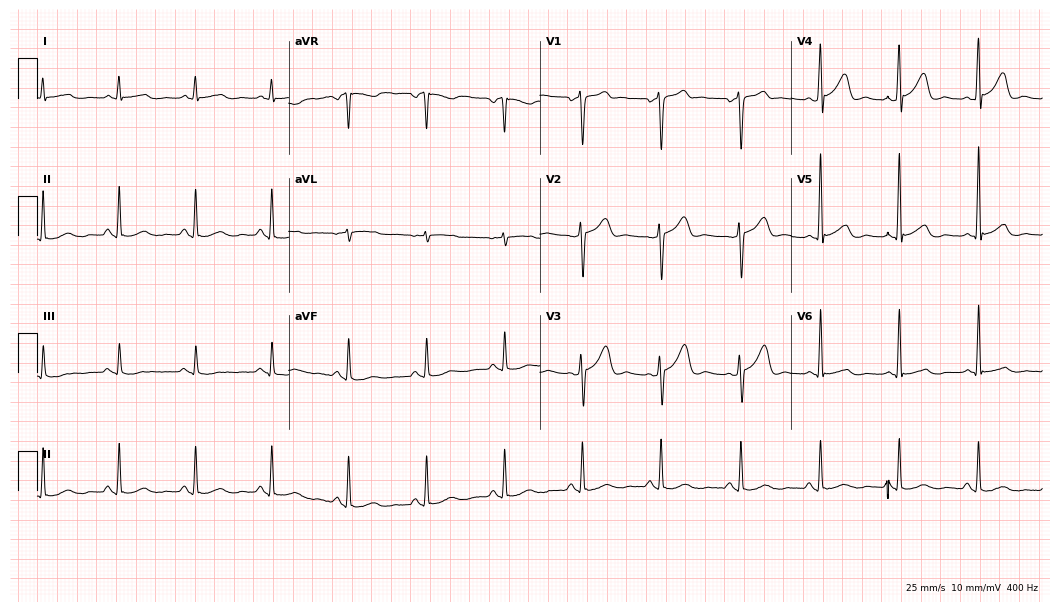
Electrocardiogram, a 50-year-old male. Of the six screened findings (first-degree AV block, right bundle branch block, left bundle branch block, sinus bradycardia, atrial fibrillation, sinus tachycardia), none is recorded. Findings outside these six are not listed.